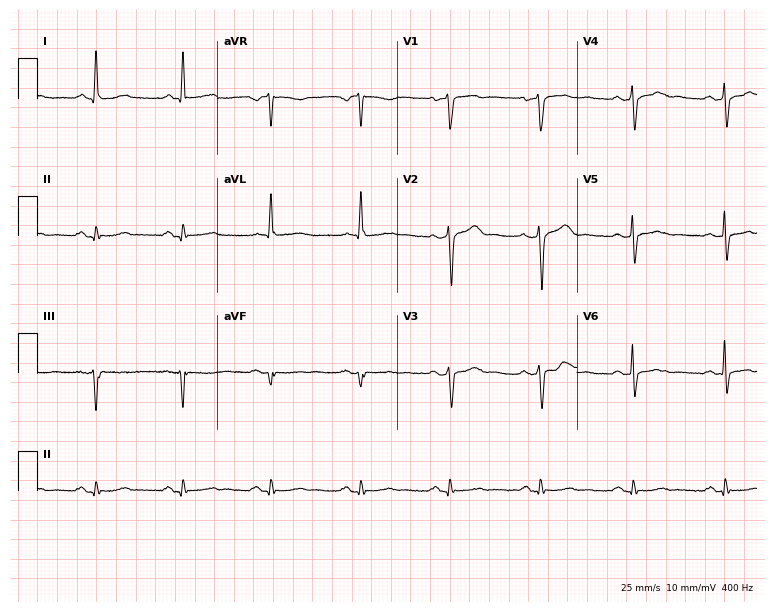
12-lead ECG (7.3-second recording at 400 Hz) from a male, 56 years old. Screened for six findings — first-degree AV block, right bundle branch block, left bundle branch block, sinus bradycardia, atrial fibrillation, sinus tachycardia — none is recorded.